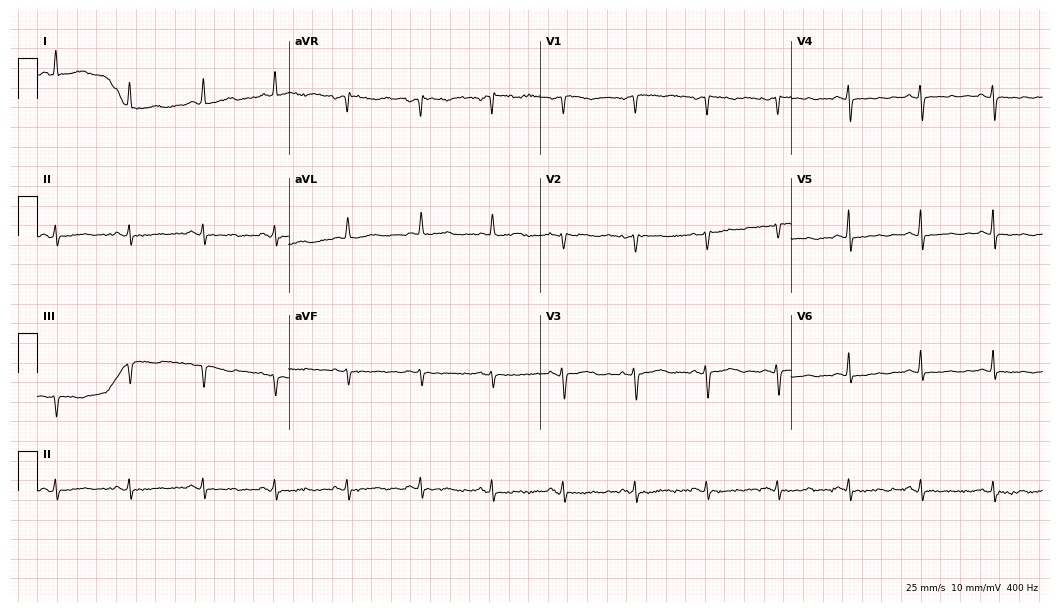
Resting 12-lead electrocardiogram (10.2-second recording at 400 Hz). Patient: a 71-year-old man. None of these six findings is recorded: first-degree AV block, right bundle branch block, left bundle branch block, sinus bradycardia, atrial fibrillation, sinus tachycardia.